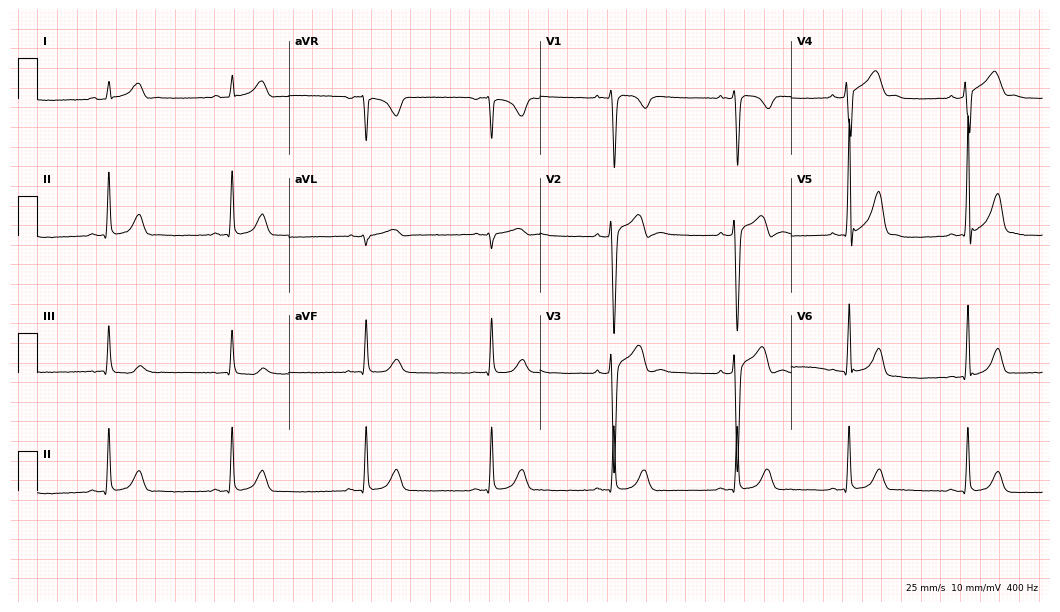
12-lead ECG from a 28-year-old male patient (10.2-second recording at 400 Hz). Recorded interpretation: within normal limits.